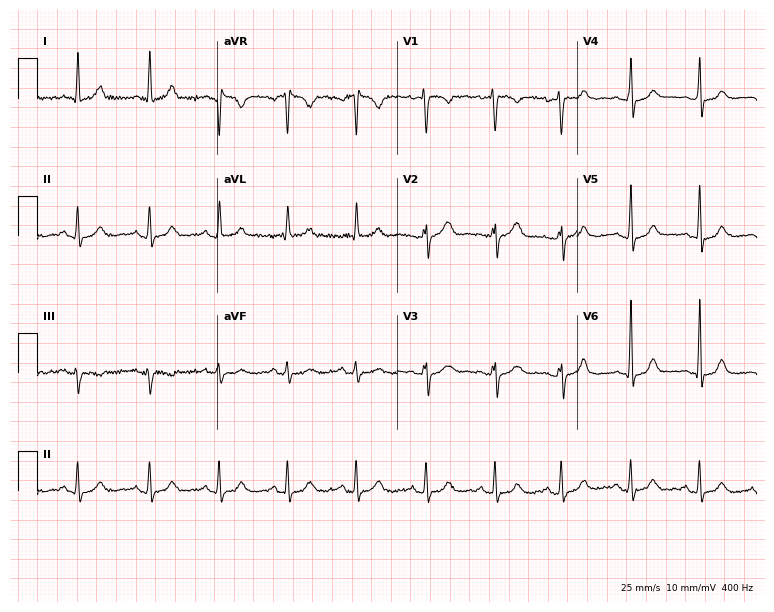
ECG — a 41-year-old female patient. Labelled as a normal ECG.